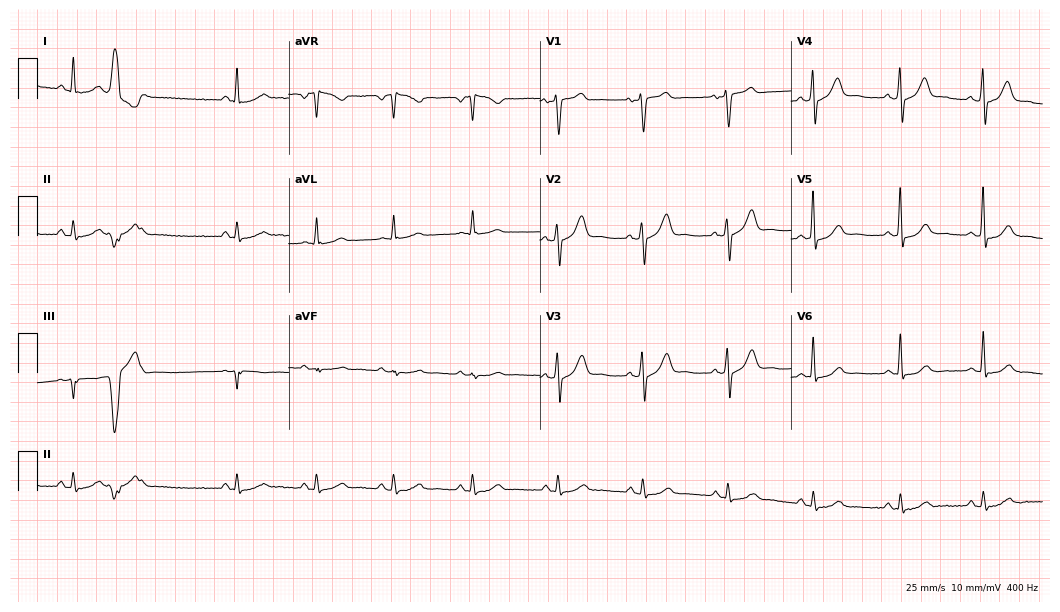
Electrocardiogram, a 53-year-old male patient. Of the six screened findings (first-degree AV block, right bundle branch block (RBBB), left bundle branch block (LBBB), sinus bradycardia, atrial fibrillation (AF), sinus tachycardia), none is recorded.